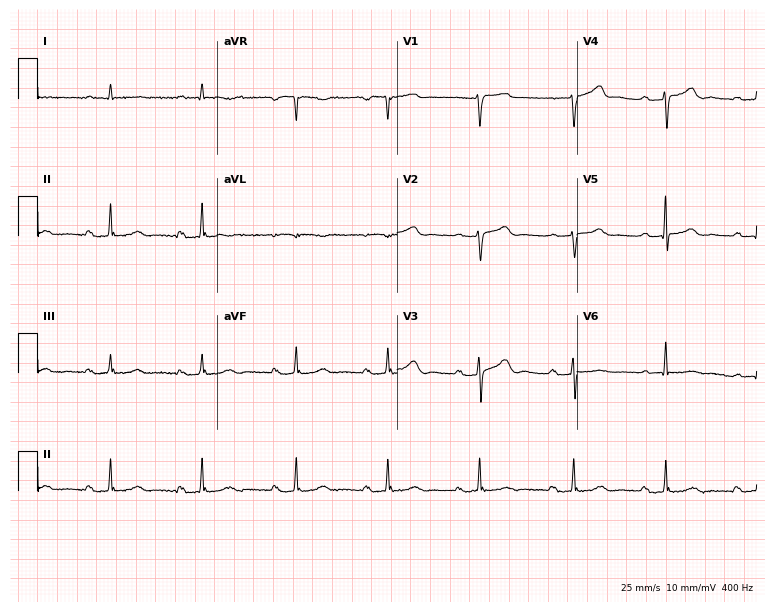
Standard 12-lead ECG recorded from a man, 85 years old. The tracing shows first-degree AV block.